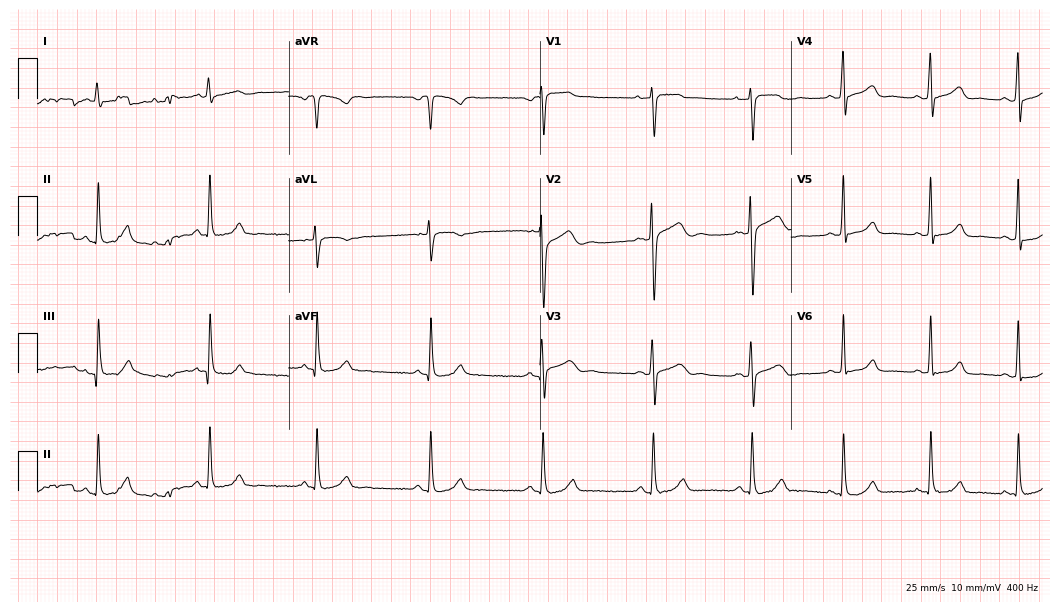
ECG — a female patient, 25 years old. Screened for six findings — first-degree AV block, right bundle branch block, left bundle branch block, sinus bradycardia, atrial fibrillation, sinus tachycardia — none is recorded. Only these six findings were labelled.